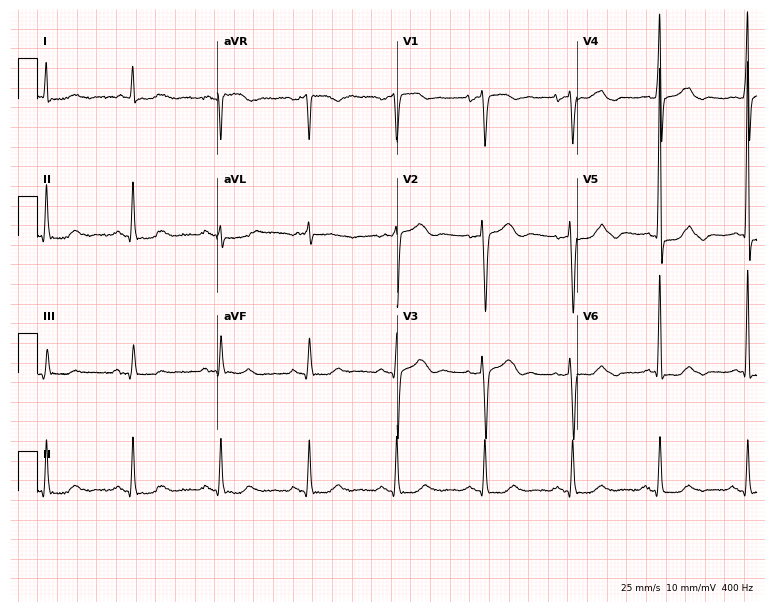
Resting 12-lead electrocardiogram (7.3-second recording at 400 Hz). Patient: a male, 80 years old. Read as a normal ECG.